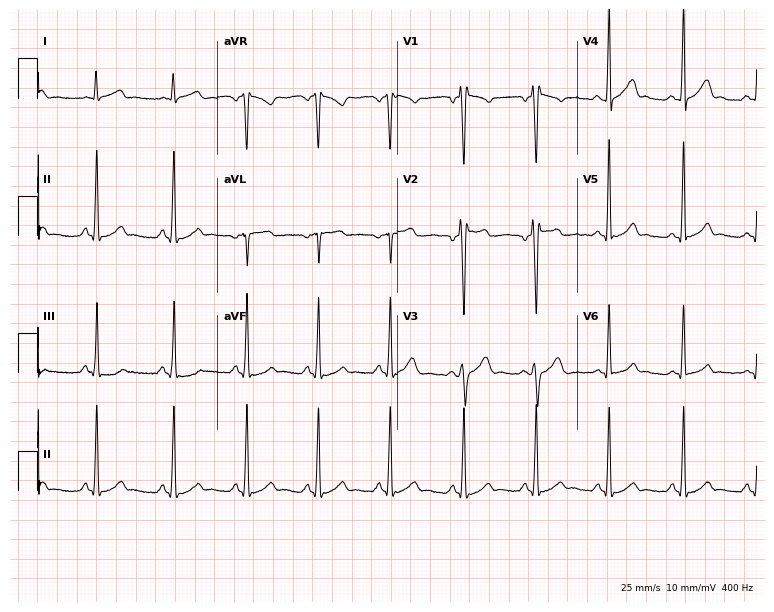
12-lead ECG from a 21-year-old male patient (7.3-second recording at 400 Hz). No first-degree AV block, right bundle branch block, left bundle branch block, sinus bradycardia, atrial fibrillation or sinus tachycardia recorded for this tracing. Other findings, if any, are not listed.